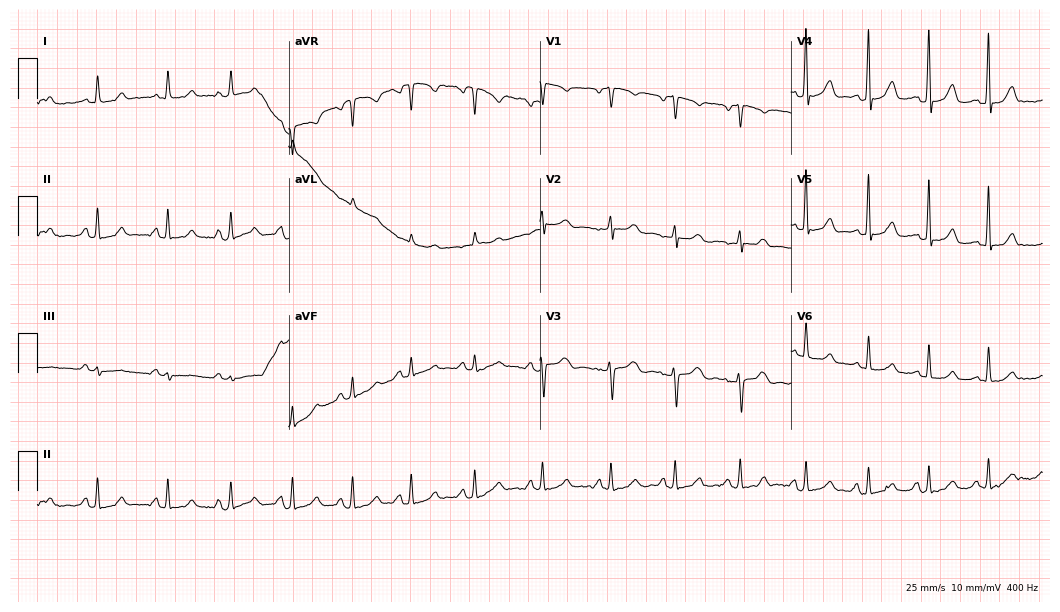
Standard 12-lead ECG recorded from a 24-year-old female. Read as a normal ECG.